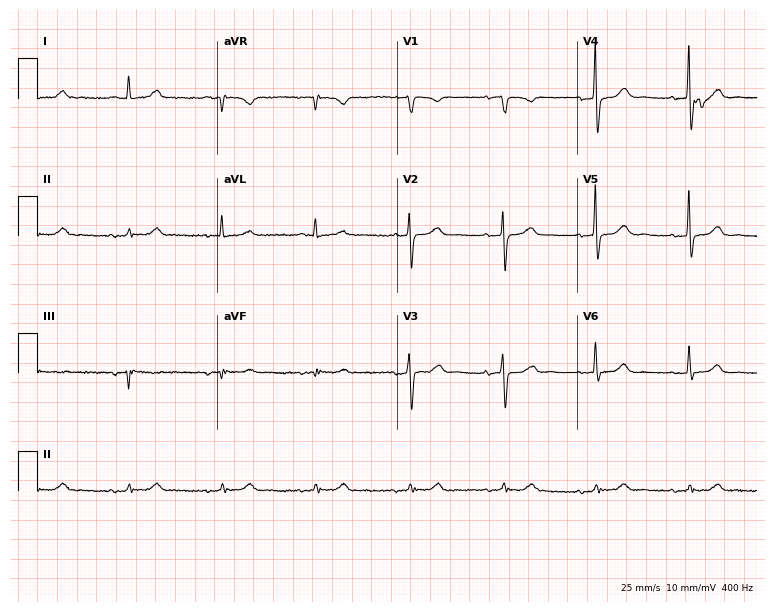
12-lead ECG from an 80-year-old man. Recorded interpretation: within normal limits.